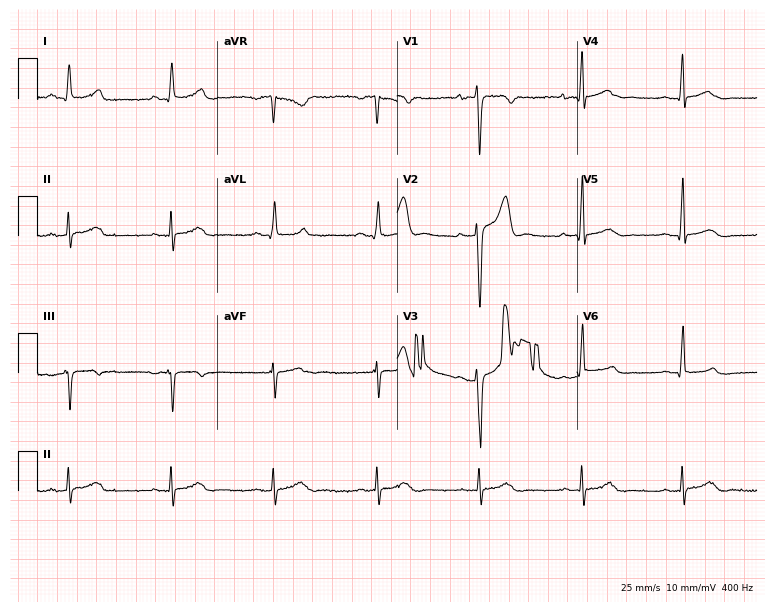
Standard 12-lead ECG recorded from a 26-year-old male patient. None of these six findings is recorded: first-degree AV block, right bundle branch block (RBBB), left bundle branch block (LBBB), sinus bradycardia, atrial fibrillation (AF), sinus tachycardia. Findings outside these six are not listed.